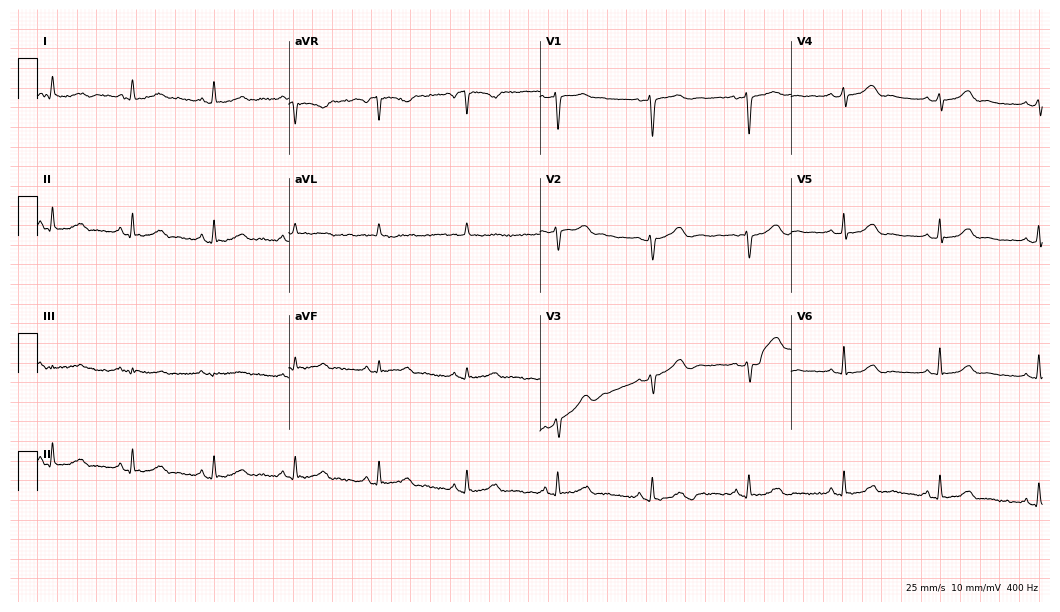
12-lead ECG from a 49-year-old woman. No first-degree AV block, right bundle branch block, left bundle branch block, sinus bradycardia, atrial fibrillation or sinus tachycardia recorded for this tracing.